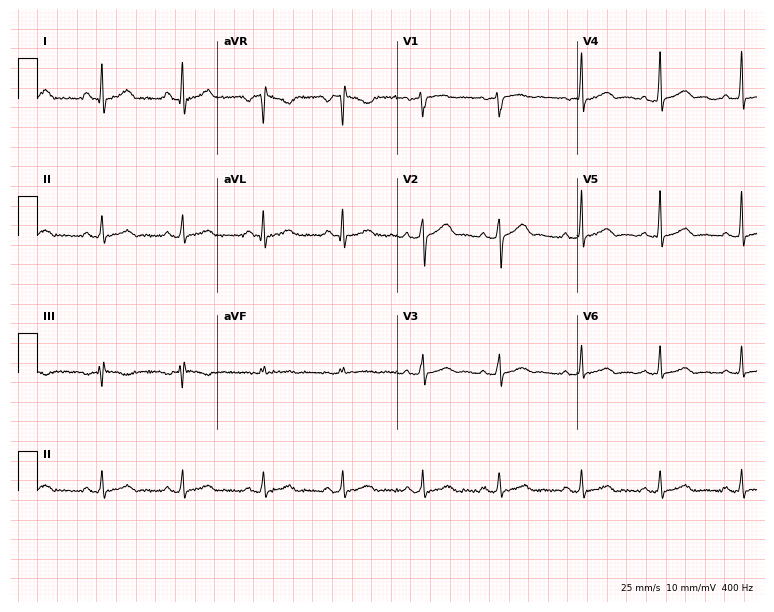
Resting 12-lead electrocardiogram. Patient: a 43-year-old man. Read as a normal ECG.